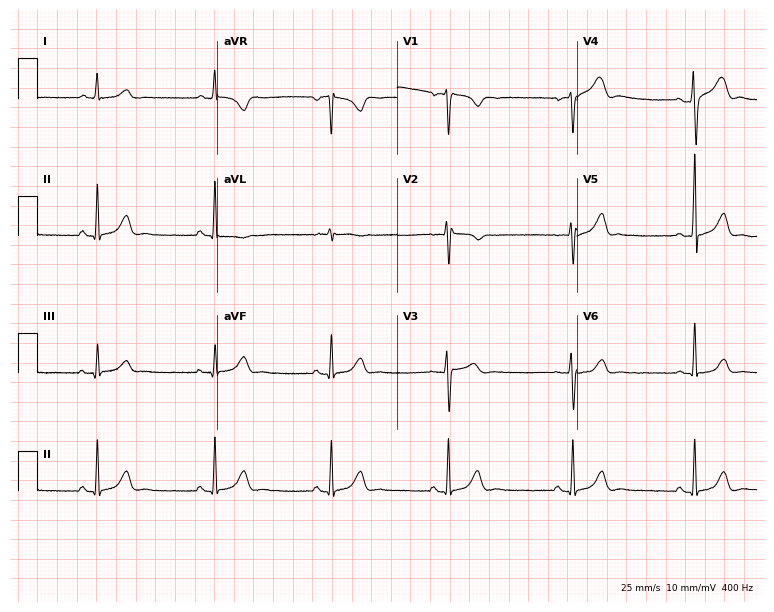
Standard 12-lead ECG recorded from a male patient, 33 years old. The tracing shows sinus bradycardia (a sinus rate of 50 beats per minute or less).